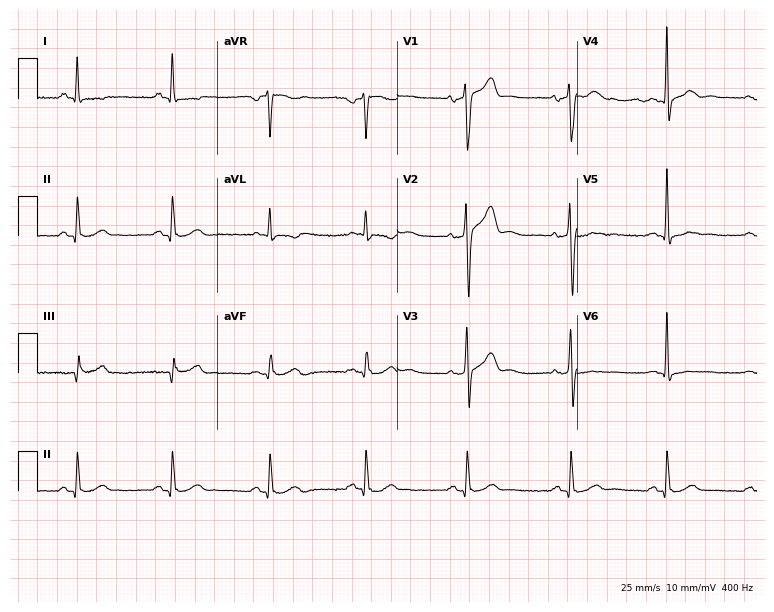
Resting 12-lead electrocardiogram (7.3-second recording at 400 Hz). Patient: a 54-year-old man. None of these six findings is recorded: first-degree AV block, right bundle branch block, left bundle branch block, sinus bradycardia, atrial fibrillation, sinus tachycardia. Findings outside these six are not listed.